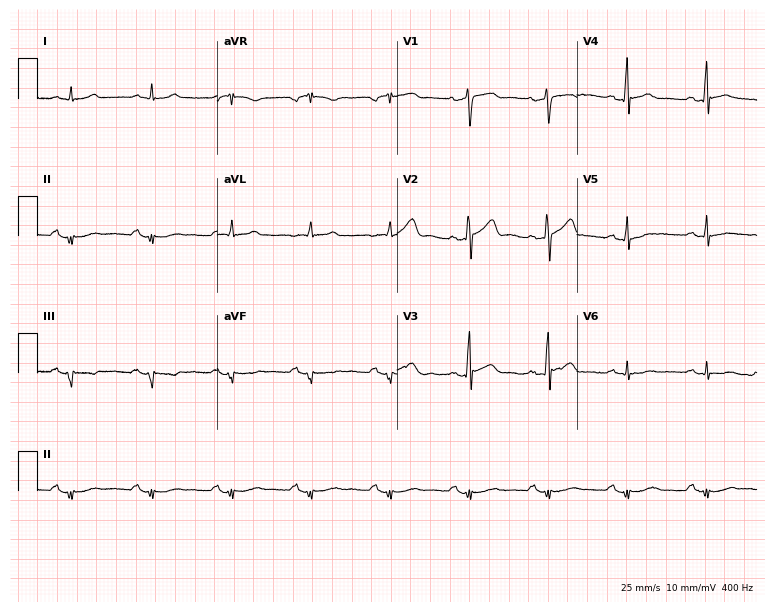
Standard 12-lead ECG recorded from a man, 59 years old (7.3-second recording at 400 Hz). None of these six findings is recorded: first-degree AV block, right bundle branch block, left bundle branch block, sinus bradycardia, atrial fibrillation, sinus tachycardia.